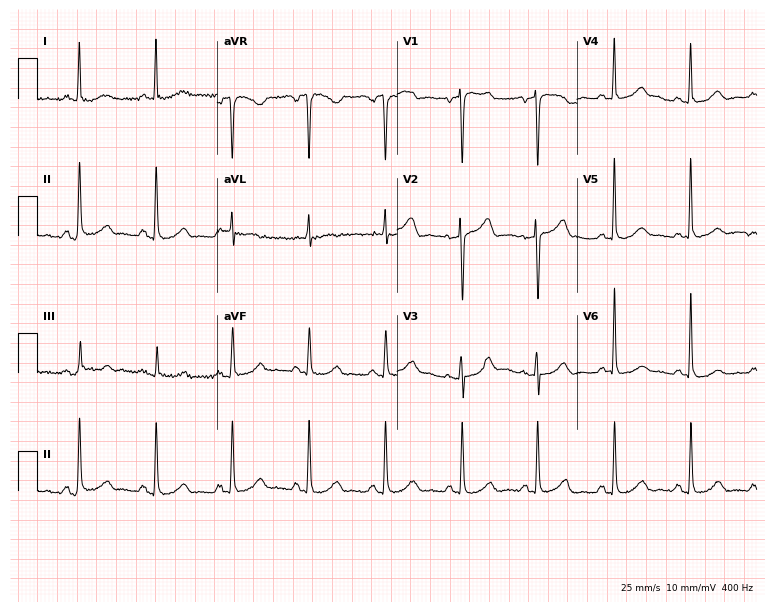
Electrocardiogram (7.3-second recording at 400 Hz), a 75-year-old female. Overall reading on record: normal ECG.